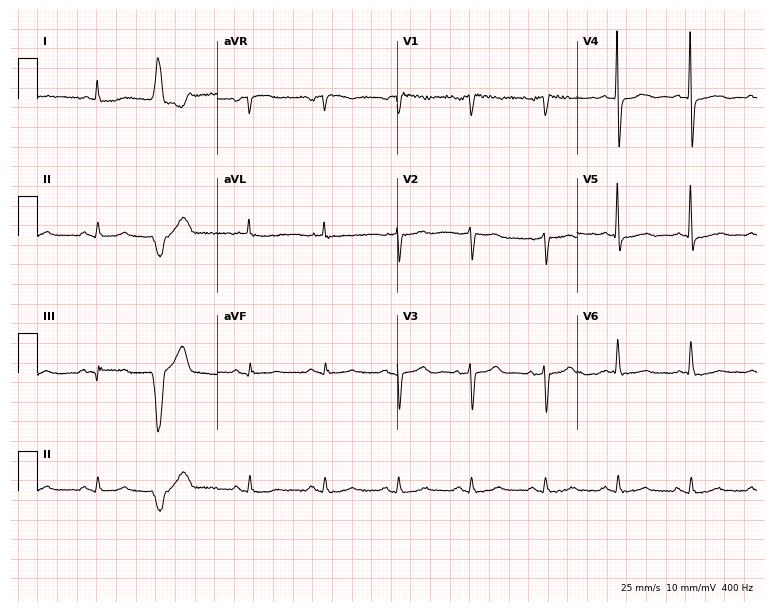
Standard 12-lead ECG recorded from an 84-year-old female patient. None of these six findings is recorded: first-degree AV block, right bundle branch block, left bundle branch block, sinus bradycardia, atrial fibrillation, sinus tachycardia.